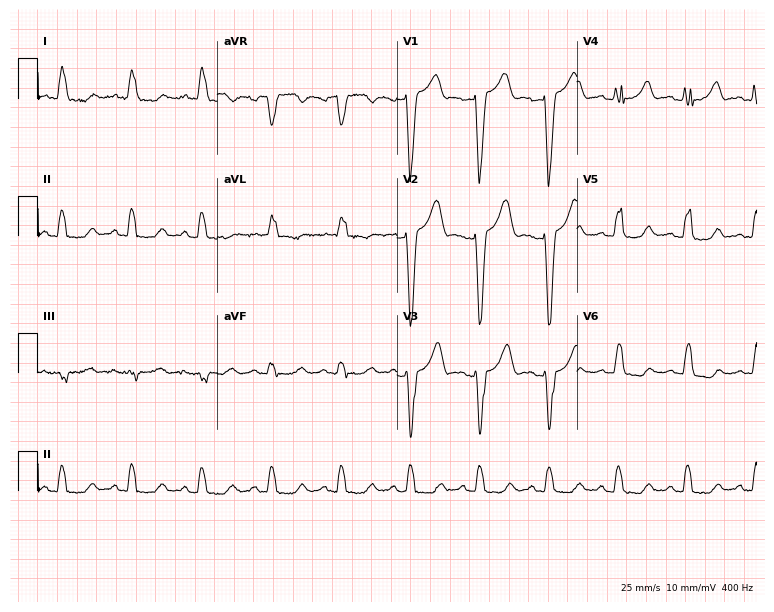
12-lead ECG from a 66-year-old woman. Shows left bundle branch block.